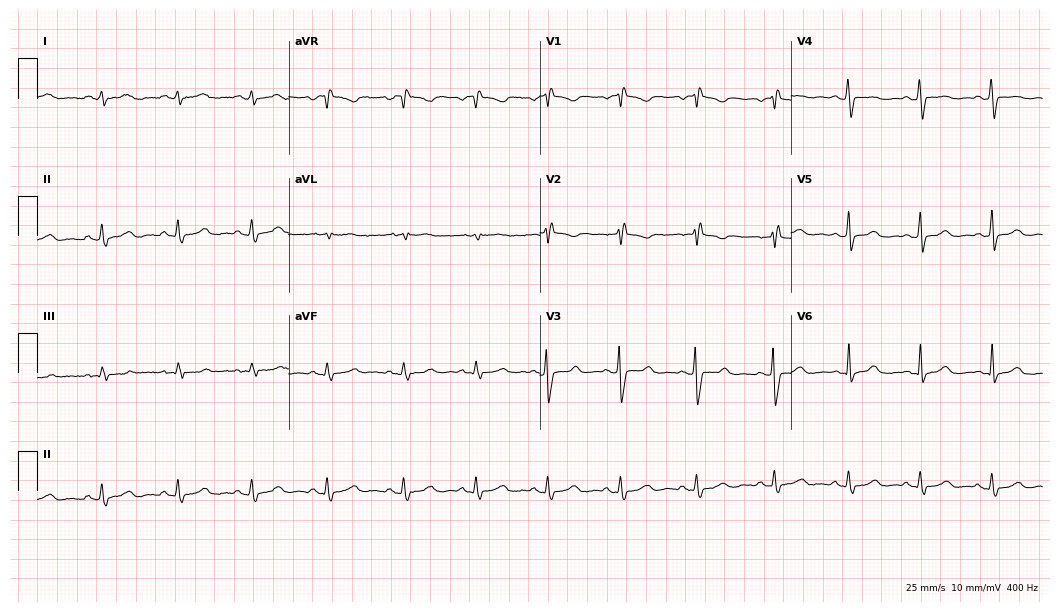
12-lead ECG from a 23-year-old female. No first-degree AV block, right bundle branch block (RBBB), left bundle branch block (LBBB), sinus bradycardia, atrial fibrillation (AF) or sinus tachycardia recorded for this tracing.